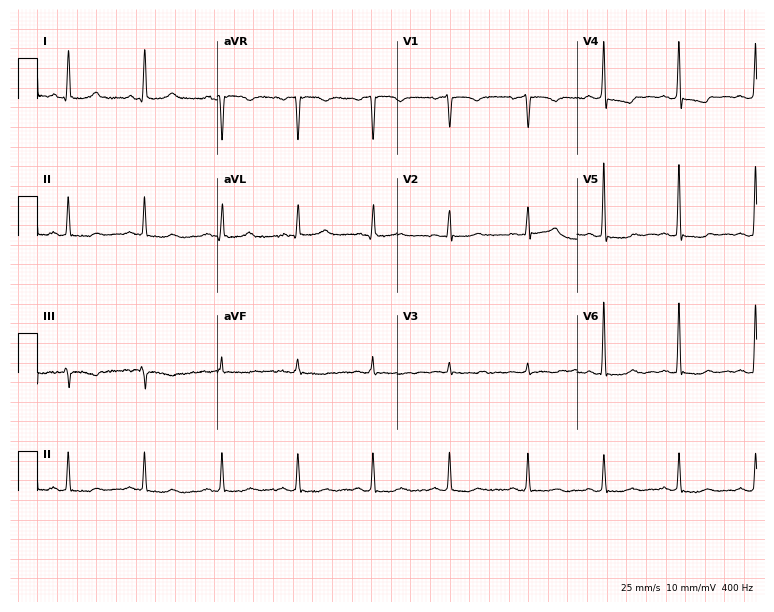
12-lead ECG (7.3-second recording at 400 Hz) from a 56-year-old woman. Screened for six findings — first-degree AV block, right bundle branch block, left bundle branch block, sinus bradycardia, atrial fibrillation, sinus tachycardia — none is recorded.